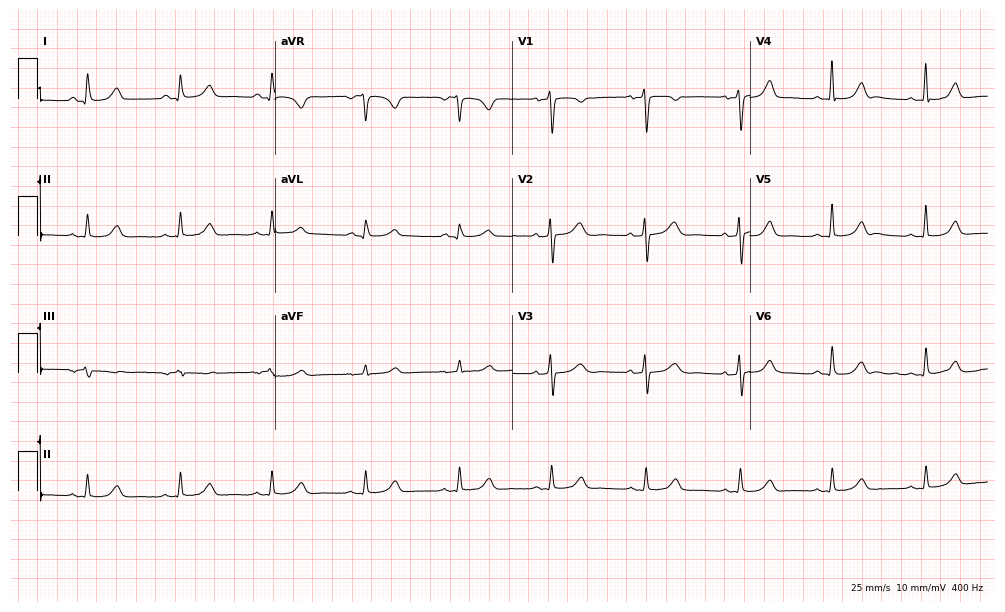
Electrocardiogram, a male patient, 36 years old. Overall reading on record: normal ECG.